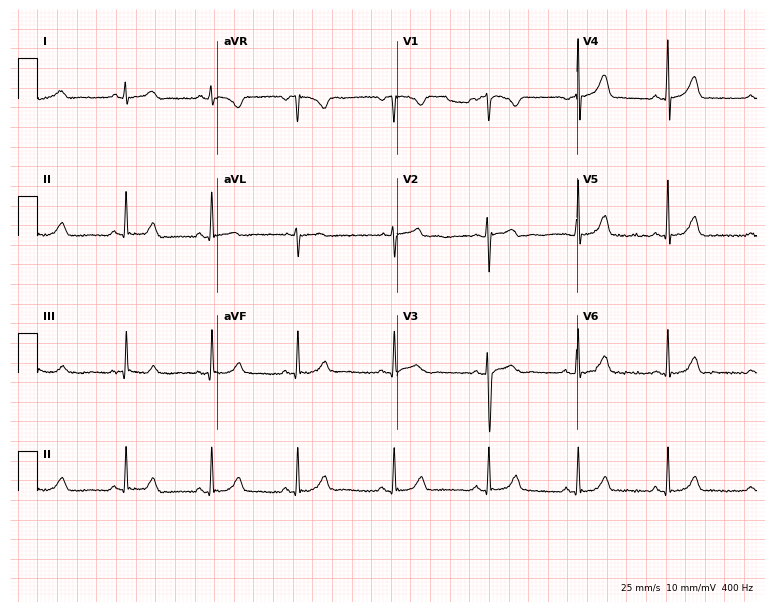
Standard 12-lead ECG recorded from a woman, 19 years old. None of these six findings is recorded: first-degree AV block, right bundle branch block, left bundle branch block, sinus bradycardia, atrial fibrillation, sinus tachycardia.